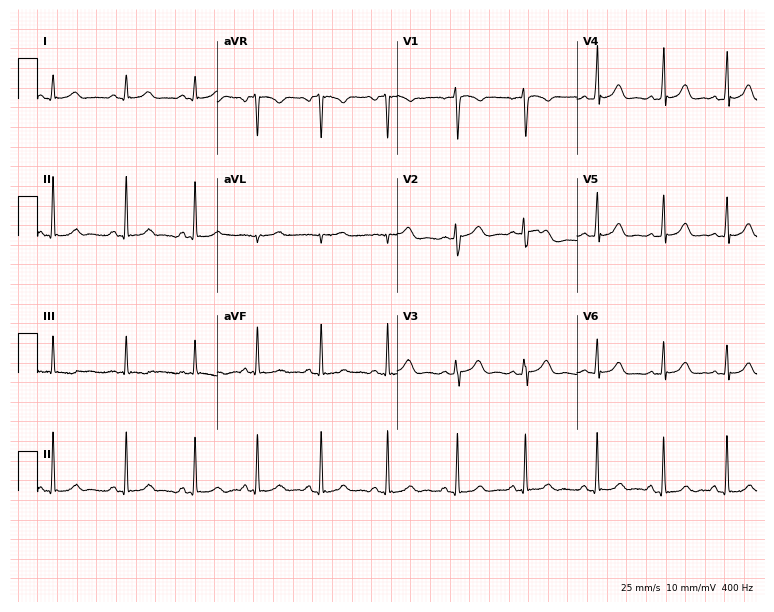
12-lead ECG (7.3-second recording at 400 Hz) from a woman, 20 years old. Screened for six findings — first-degree AV block, right bundle branch block, left bundle branch block, sinus bradycardia, atrial fibrillation, sinus tachycardia — none is recorded. Other findings, if any, are not listed.